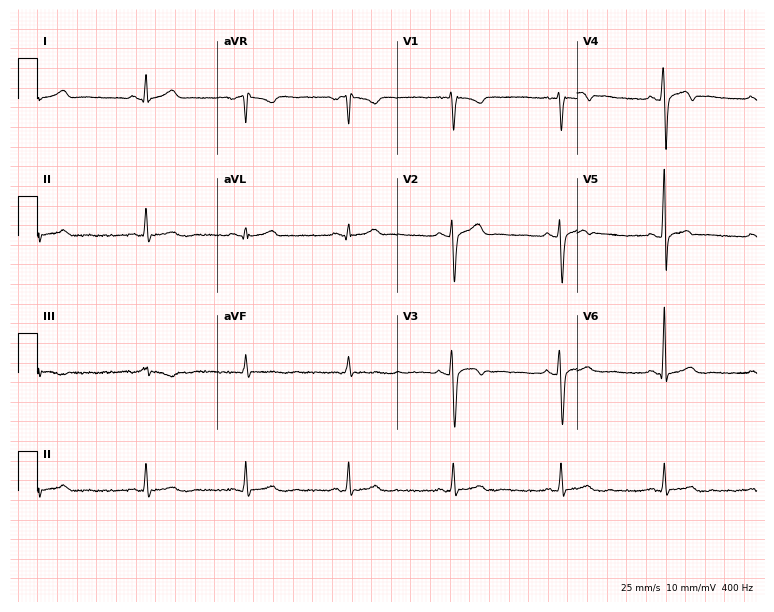
12-lead ECG from a male patient, 34 years old (7.3-second recording at 400 Hz). No first-degree AV block, right bundle branch block (RBBB), left bundle branch block (LBBB), sinus bradycardia, atrial fibrillation (AF) or sinus tachycardia recorded for this tracing. Findings outside these six are not listed.